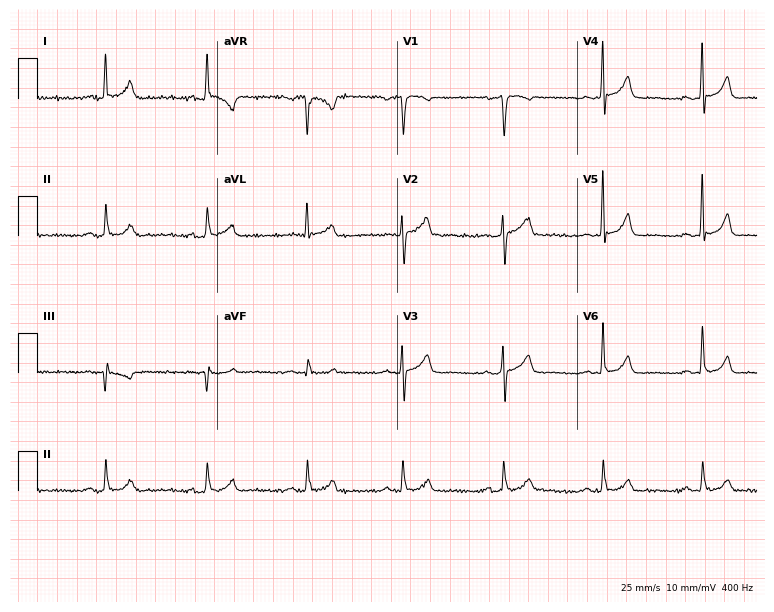
Electrocardiogram, a 56-year-old man. Of the six screened findings (first-degree AV block, right bundle branch block, left bundle branch block, sinus bradycardia, atrial fibrillation, sinus tachycardia), none is recorded. Other findings, if any, are not listed.